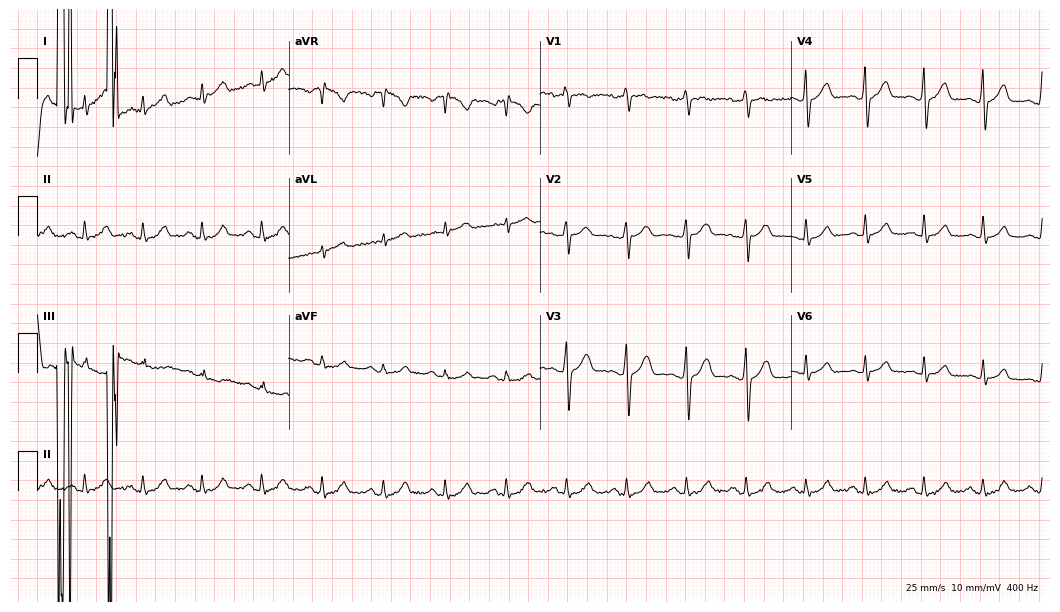
12-lead ECG from a 51-year-old man. Screened for six findings — first-degree AV block, right bundle branch block (RBBB), left bundle branch block (LBBB), sinus bradycardia, atrial fibrillation (AF), sinus tachycardia — none is recorded.